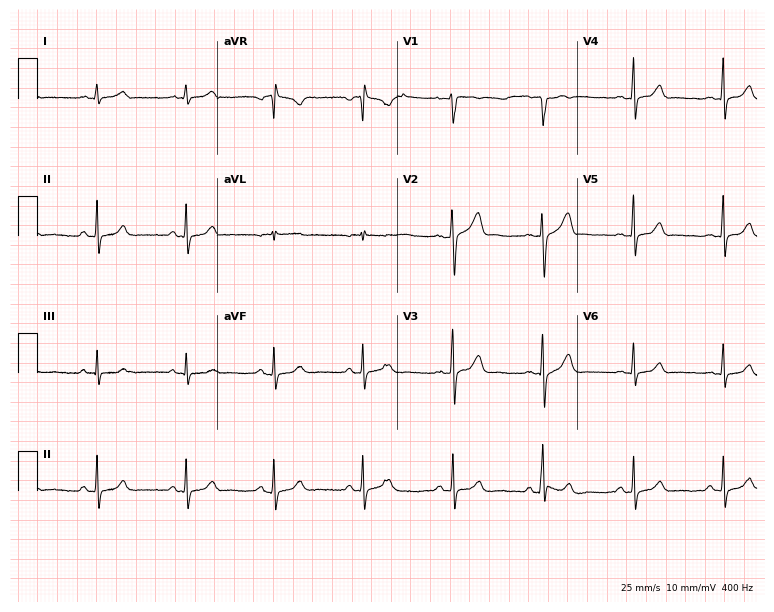
Electrocardiogram, a 31-year-old man. Of the six screened findings (first-degree AV block, right bundle branch block, left bundle branch block, sinus bradycardia, atrial fibrillation, sinus tachycardia), none is recorded.